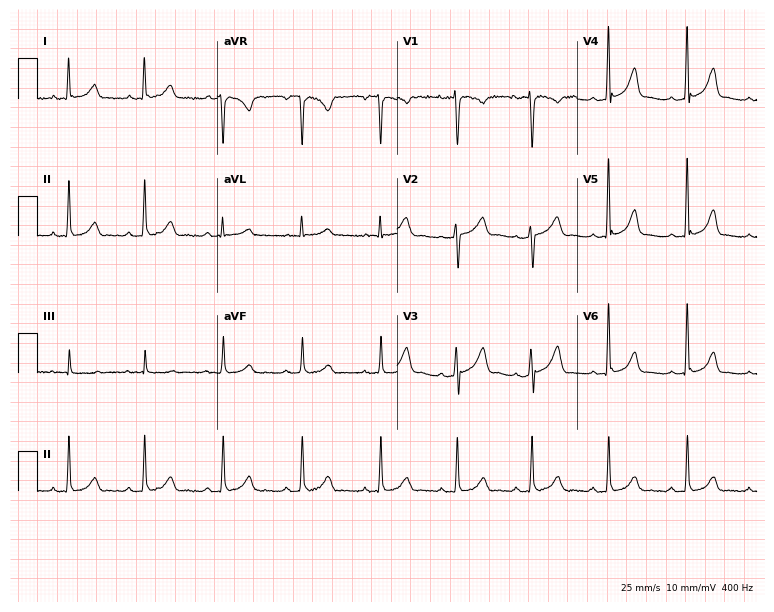
12-lead ECG from a woman, 30 years old. Screened for six findings — first-degree AV block, right bundle branch block (RBBB), left bundle branch block (LBBB), sinus bradycardia, atrial fibrillation (AF), sinus tachycardia — none is recorded.